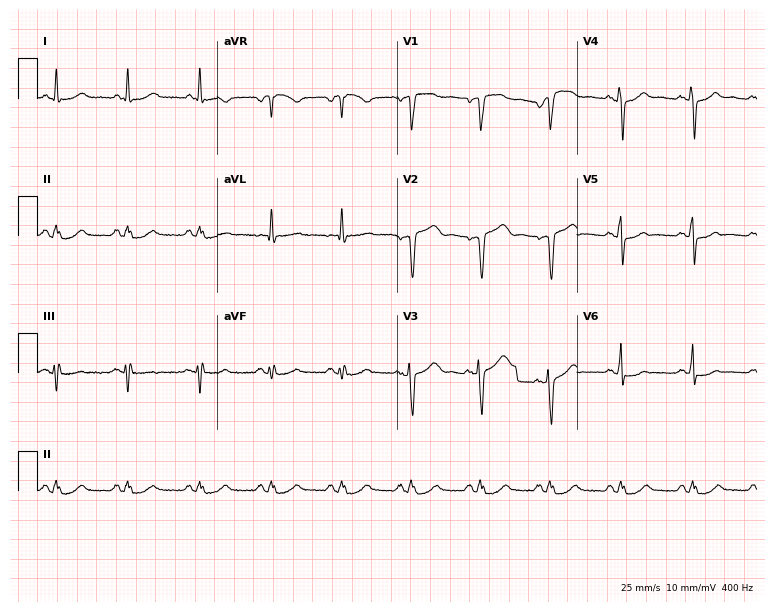
Standard 12-lead ECG recorded from a male patient, 48 years old. Read as a normal ECG.